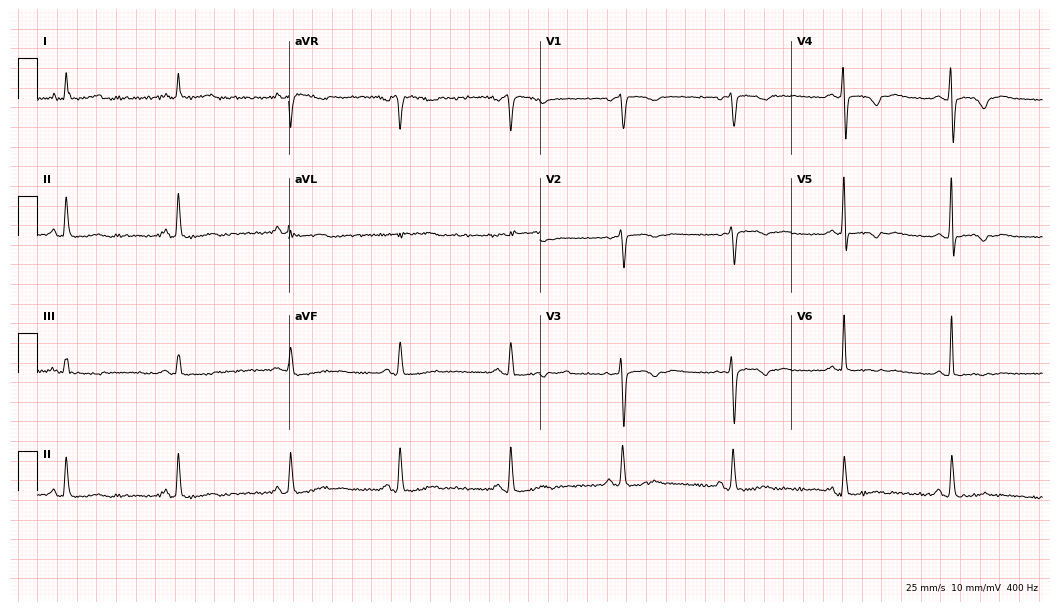
Standard 12-lead ECG recorded from a 59-year-old woman. None of these six findings is recorded: first-degree AV block, right bundle branch block, left bundle branch block, sinus bradycardia, atrial fibrillation, sinus tachycardia. Findings outside these six are not listed.